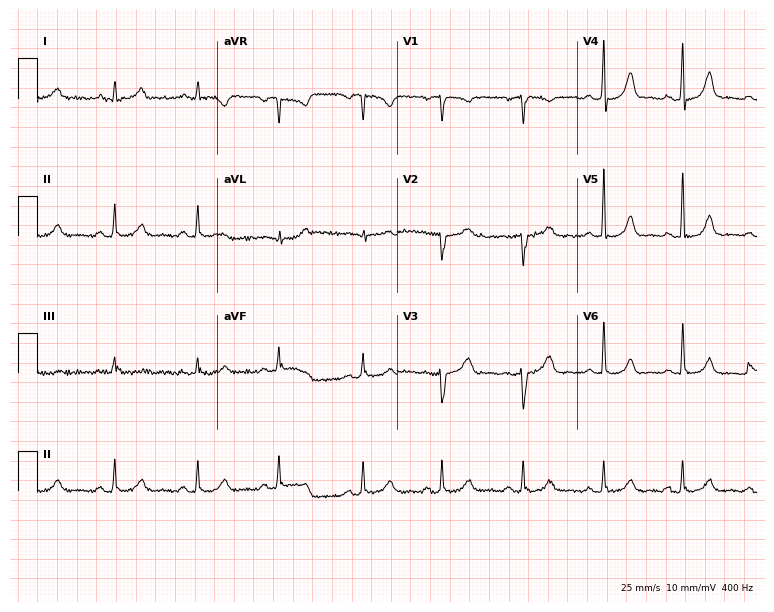
Standard 12-lead ECG recorded from a 40-year-old woman. None of these six findings is recorded: first-degree AV block, right bundle branch block, left bundle branch block, sinus bradycardia, atrial fibrillation, sinus tachycardia. Findings outside these six are not listed.